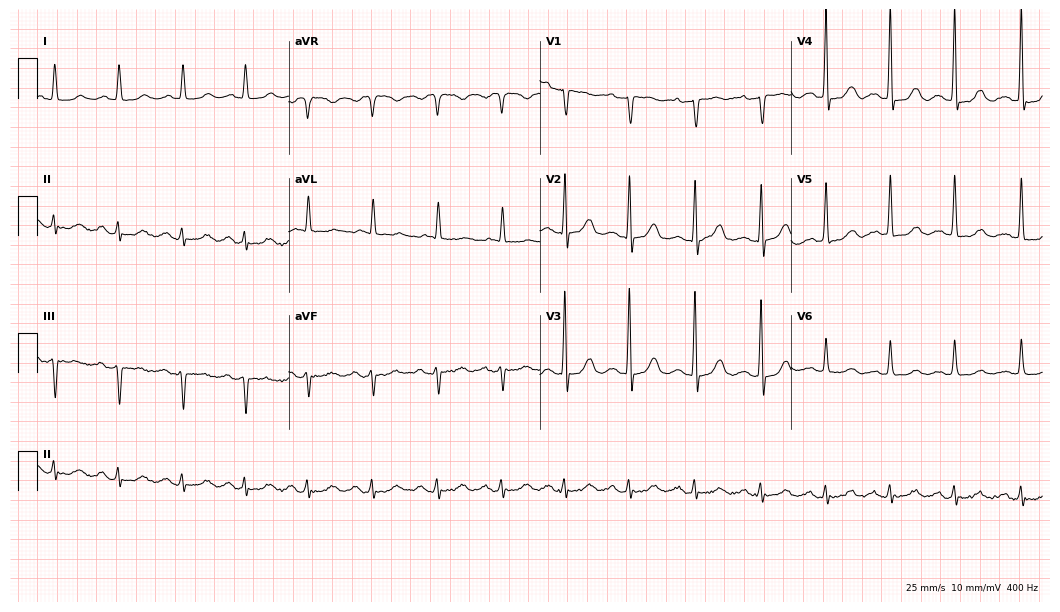
12-lead ECG from a female, 83 years old. No first-degree AV block, right bundle branch block (RBBB), left bundle branch block (LBBB), sinus bradycardia, atrial fibrillation (AF) or sinus tachycardia recorded for this tracing. Findings outside these six are not listed.